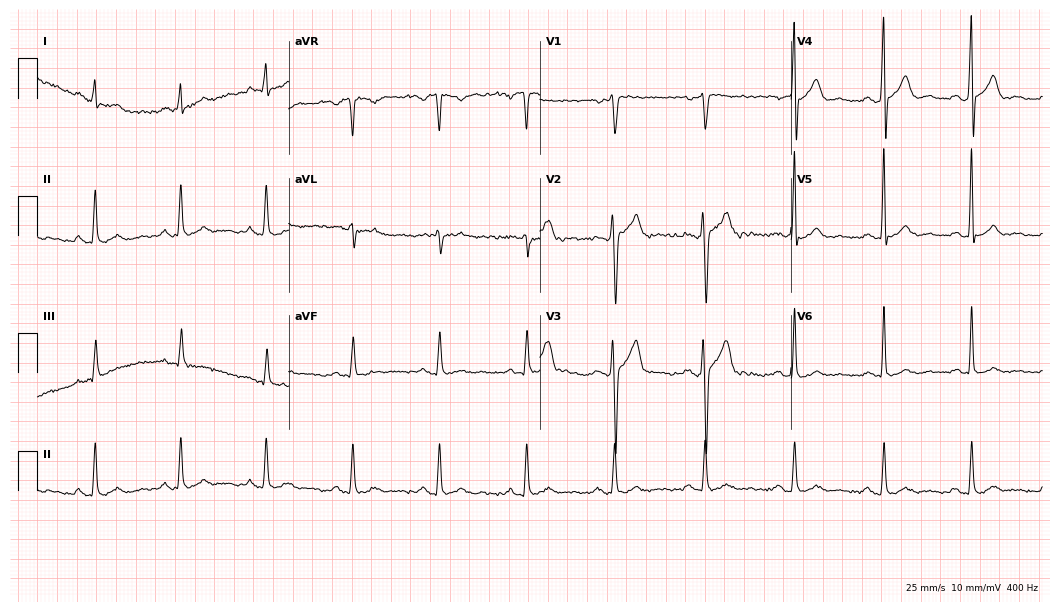
12-lead ECG from a 34-year-old male. Labelled as a normal ECG.